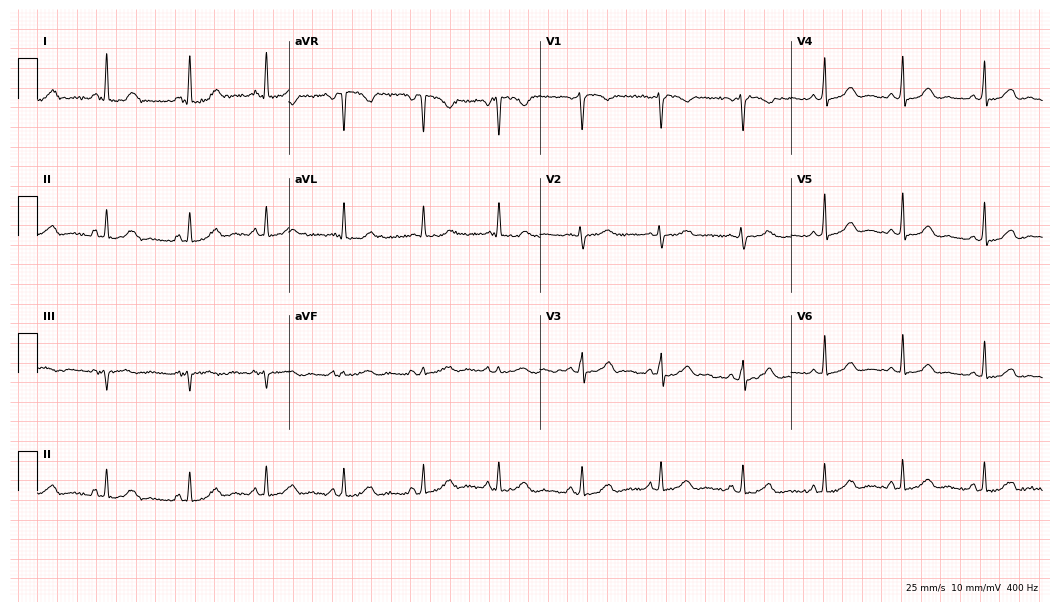
Resting 12-lead electrocardiogram. Patient: a female, 29 years old. Read as a normal ECG.